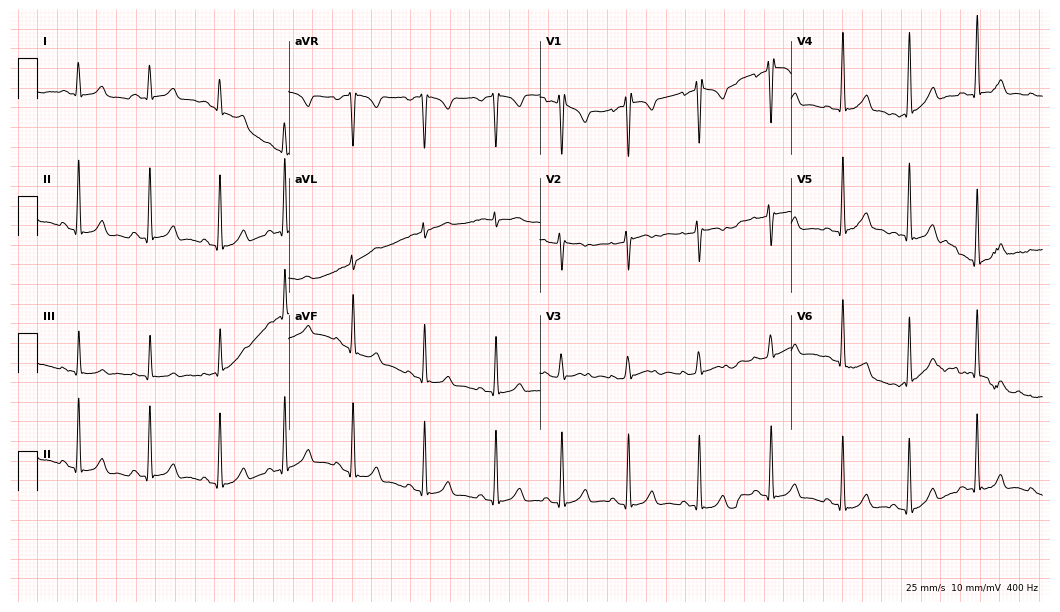
Standard 12-lead ECG recorded from a 17-year-old female (10.2-second recording at 400 Hz). Read as a normal ECG.